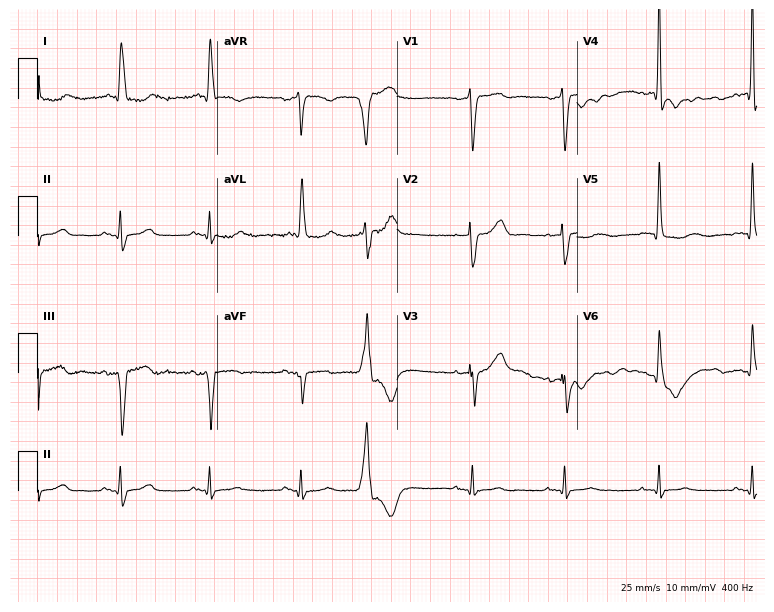
12-lead ECG (7.3-second recording at 400 Hz) from a 79-year-old male. Screened for six findings — first-degree AV block, right bundle branch block, left bundle branch block, sinus bradycardia, atrial fibrillation, sinus tachycardia — none is recorded. Only these six findings were labelled.